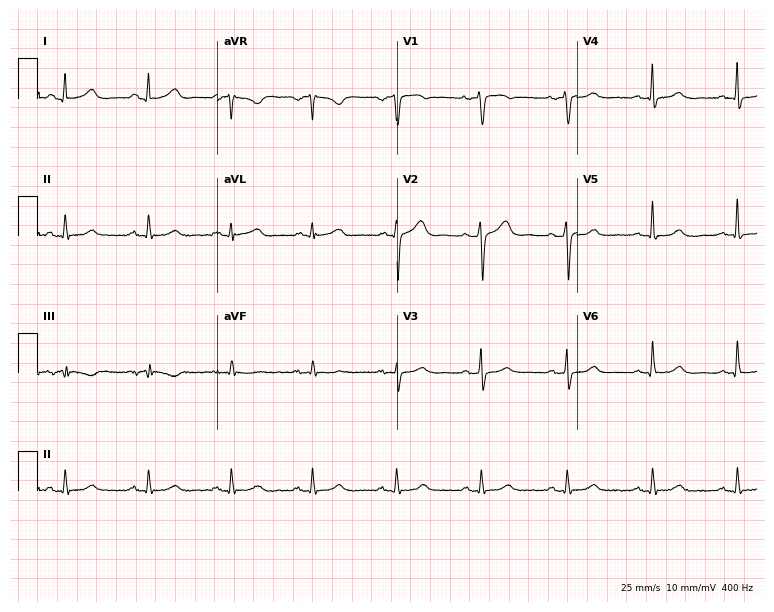
Standard 12-lead ECG recorded from a female patient, 49 years old. Read as a normal ECG.